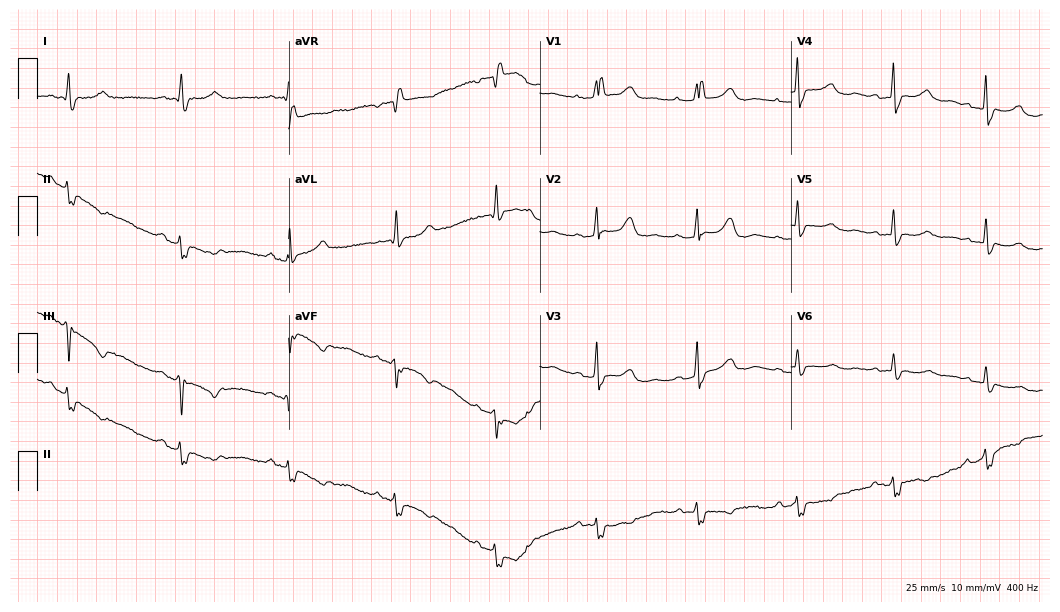
12-lead ECG from a woman, 59 years old (10.2-second recording at 400 Hz). Shows right bundle branch block (RBBB).